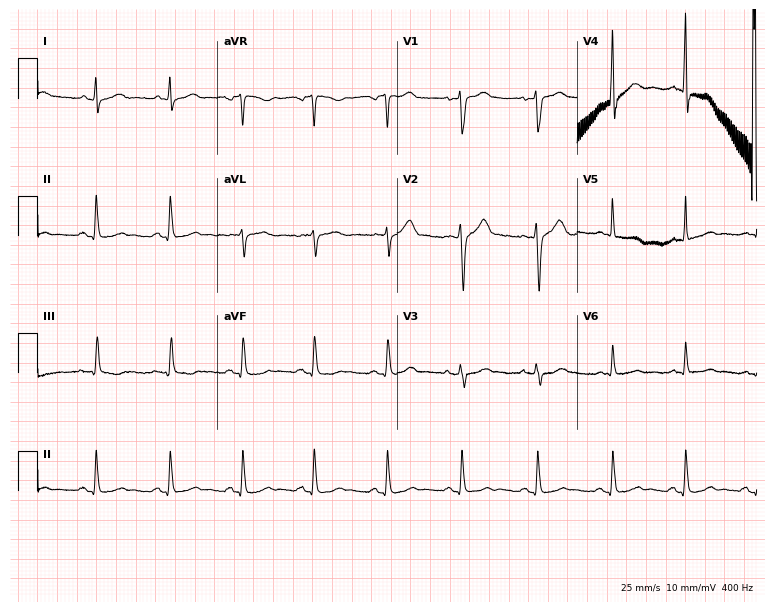
12-lead ECG (7.3-second recording at 400 Hz) from a male, 42 years old. Screened for six findings — first-degree AV block, right bundle branch block, left bundle branch block, sinus bradycardia, atrial fibrillation, sinus tachycardia — none is recorded.